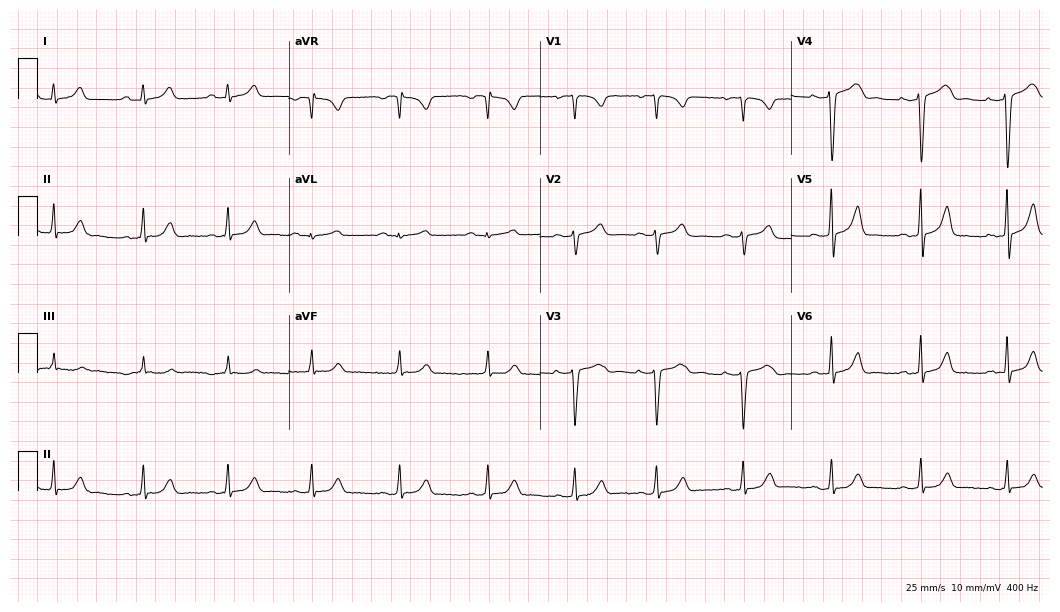
12-lead ECG (10.2-second recording at 400 Hz) from a 32-year-old female patient. Screened for six findings — first-degree AV block, right bundle branch block, left bundle branch block, sinus bradycardia, atrial fibrillation, sinus tachycardia — none is recorded. Only these six findings were labelled.